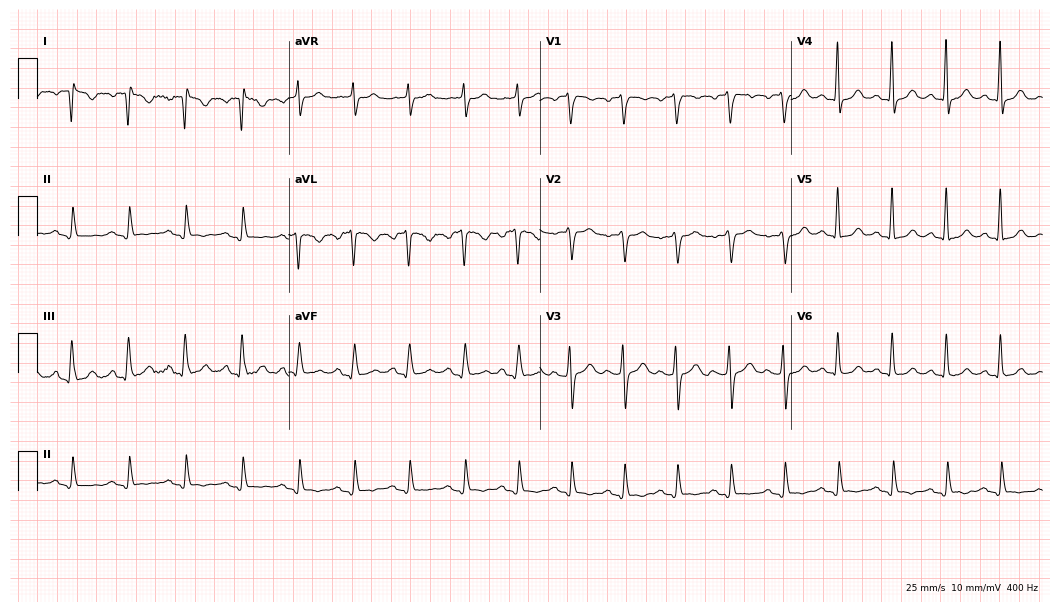
ECG — a woman, 40 years old. Screened for six findings — first-degree AV block, right bundle branch block, left bundle branch block, sinus bradycardia, atrial fibrillation, sinus tachycardia — none is recorded. Other findings, if any, are not listed.